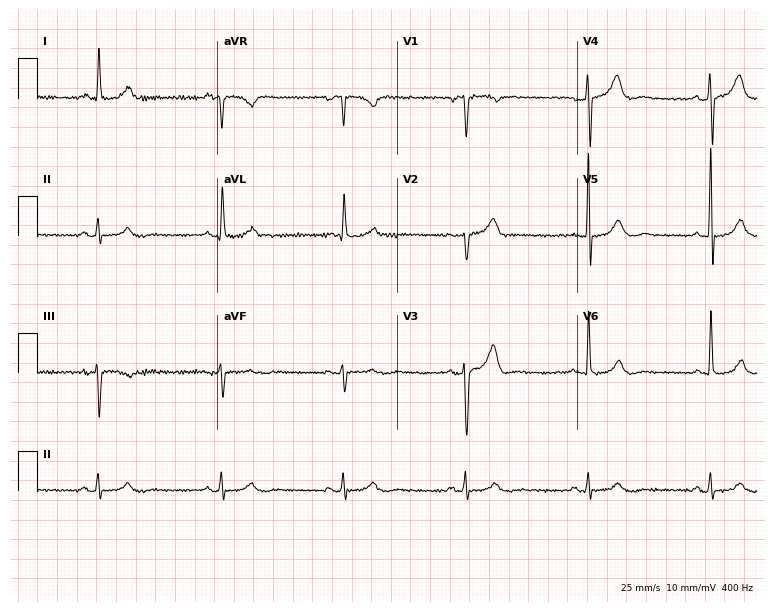
12-lead ECG from a male patient, 64 years old. Findings include sinus bradycardia (a sinus rate of 50 beats per minute or less).